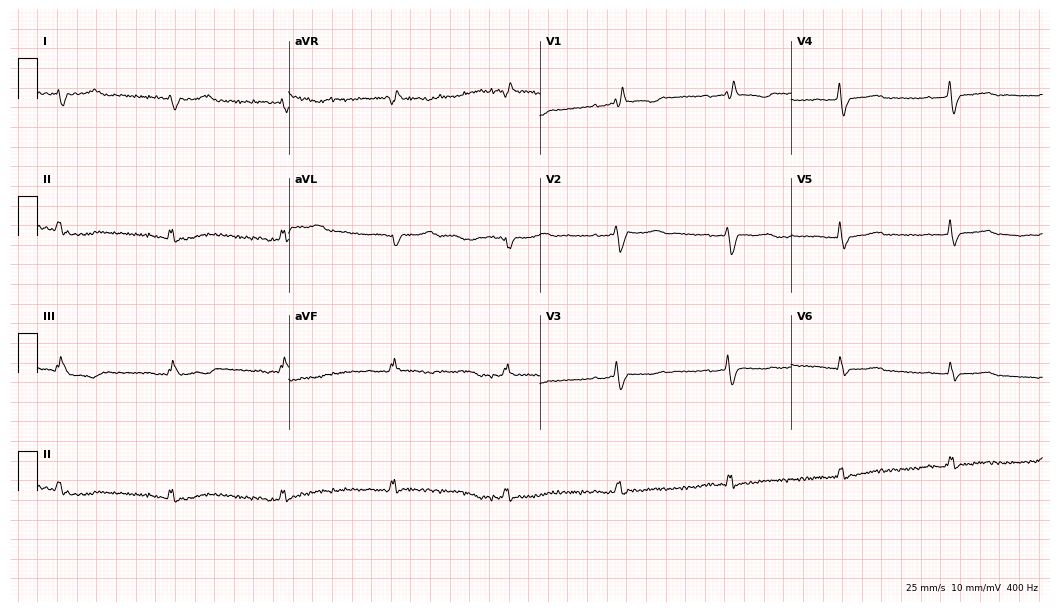
Electrocardiogram (10.2-second recording at 400 Hz), a female patient, 65 years old. Of the six screened findings (first-degree AV block, right bundle branch block (RBBB), left bundle branch block (LBBB), sinus bradycardia, atrial fibrillation (AF), sinus tachycardia), none is recorded. Only these six findings were labelled.